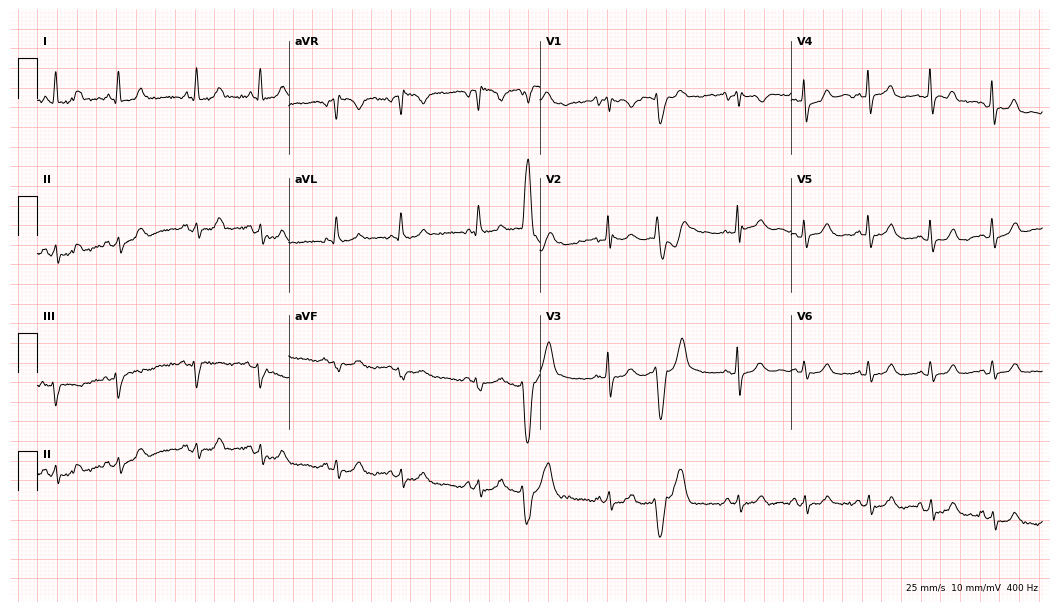
Standard 12-lead ECG recorded from a woman, 83 years old. Read as a normal ECG.